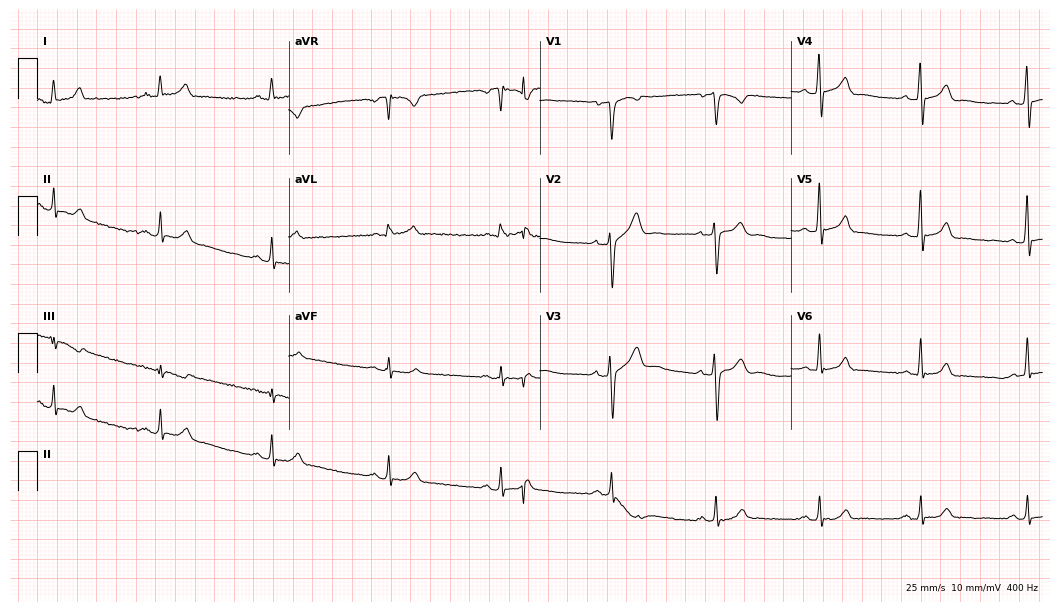
Standard 12-lead ECG recorded from a male patient, 54 years old (10.2-second recording at 400 Hz). None of these six findings is recorded: first-degree AV block, right bundle branch block, left bundle branch block, sinus bradycardia, atrial fibrillation, sinus tachycardia. Findings outside these six are not listed.